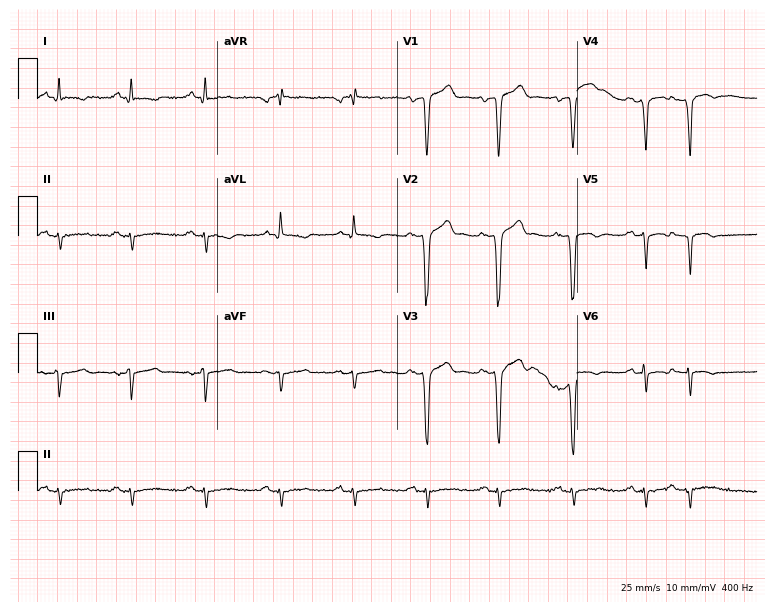
Standard 12-lead ECG recorded from an 80-year-old male patient (7.3-second recording at 400 Hz). None of these six findings is recorded: first-degree AV block, right bundle branch block, left bundle branch block, sinus bradycardia, atrial fibrillation, sinus tachycardia. Only these six findings were labelled.